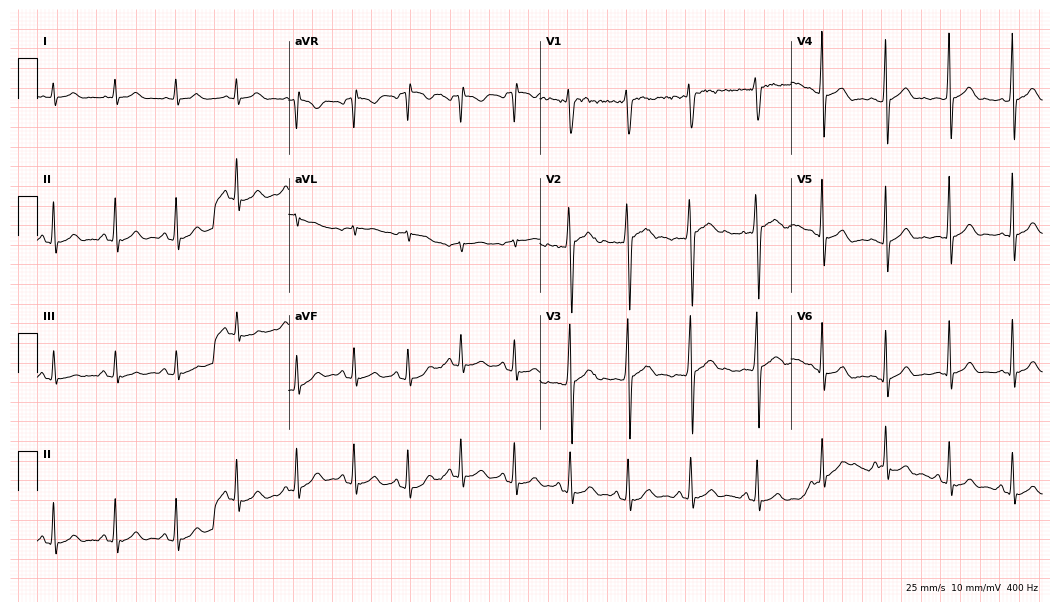
12-lead ECG from an 18-year-old male. Screened for six findings — first-degree AV block, right bundle branch block, left bundle branch block, sinus bradycardia, atrial fibrillation, sinus tachycardia — none is recorded. Only these six findings were labelled.